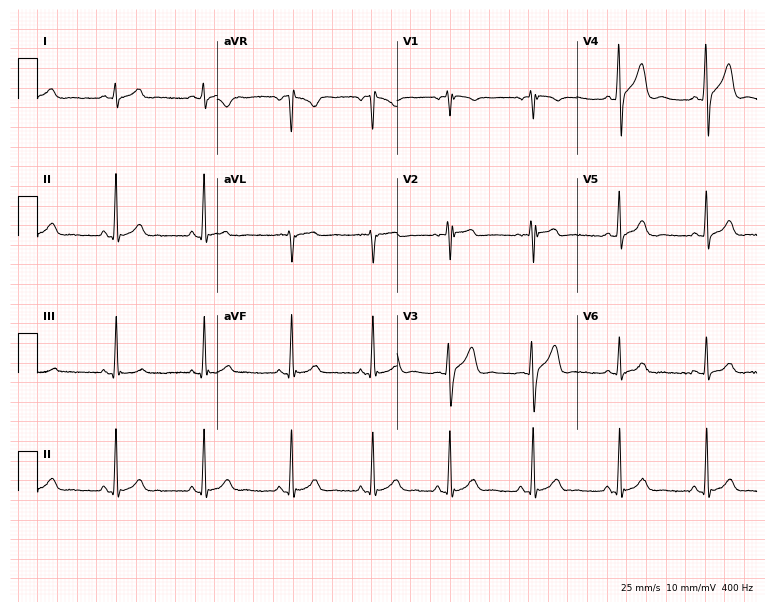
12-lead ECG from a woman, 30 years old (7.3-second recording at 400 Hz). No first-degree AV block, right bundle branch block, left bundle branch block, sinus bradycardia, atrial fibrillation or sinus tachycardia recorded for this tracing. Findings outside these six are not listed.